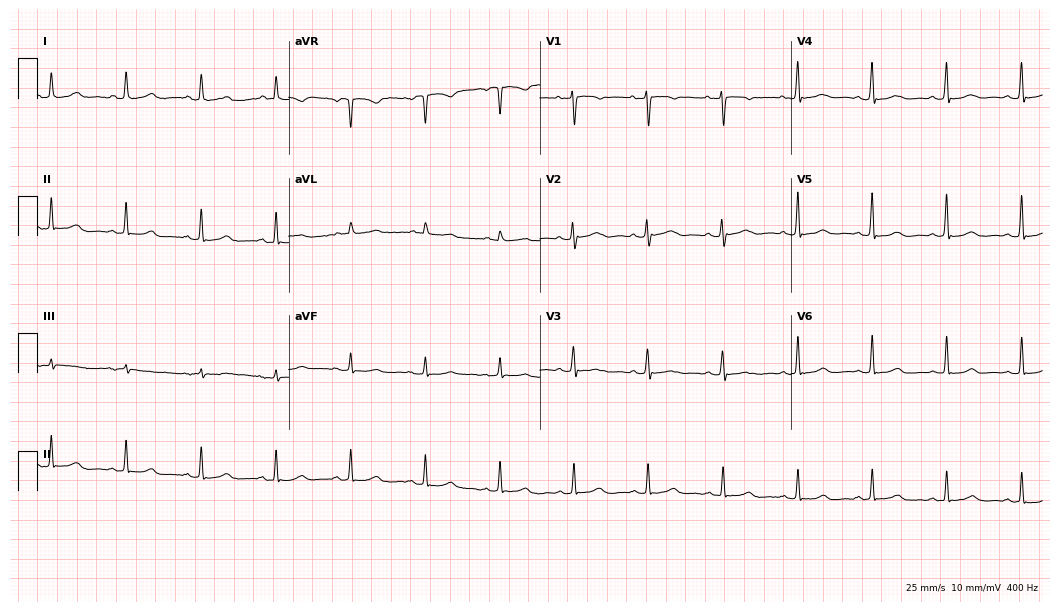
Resting 12-lead electrocardiogram. Patient: a woman, 75 years old. Read as a normal ECG.